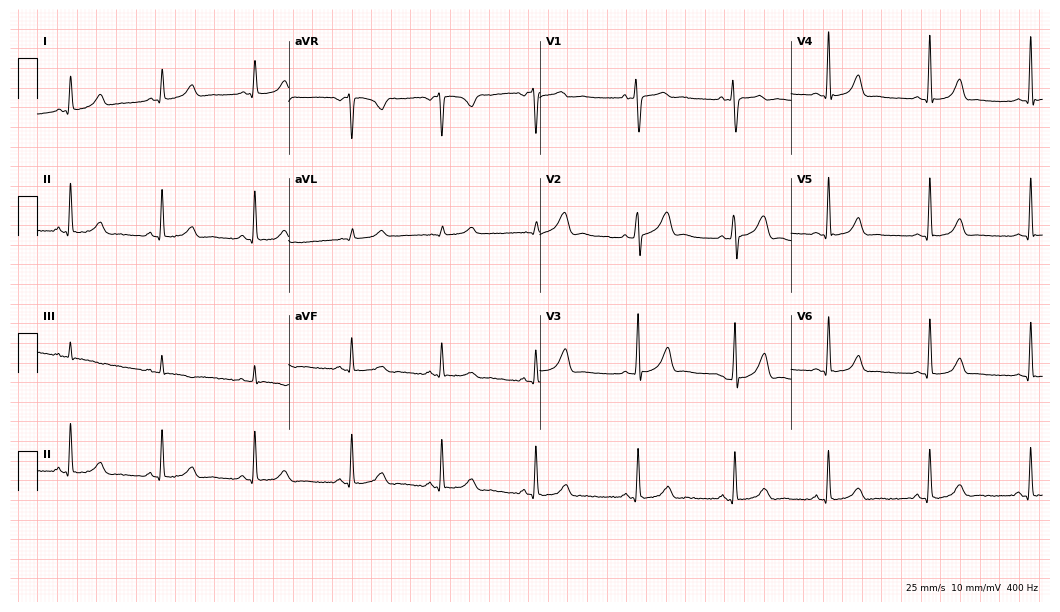
Standard 12-lead ECG recorded from a 29-year-old woman. None of these six findings is recorded: first-degree AV block, right bundle branch block, left bundle branch block, sinus bradycardia, atrial fibrillation, sinus tachycardia. Findings outside these six are not listed.